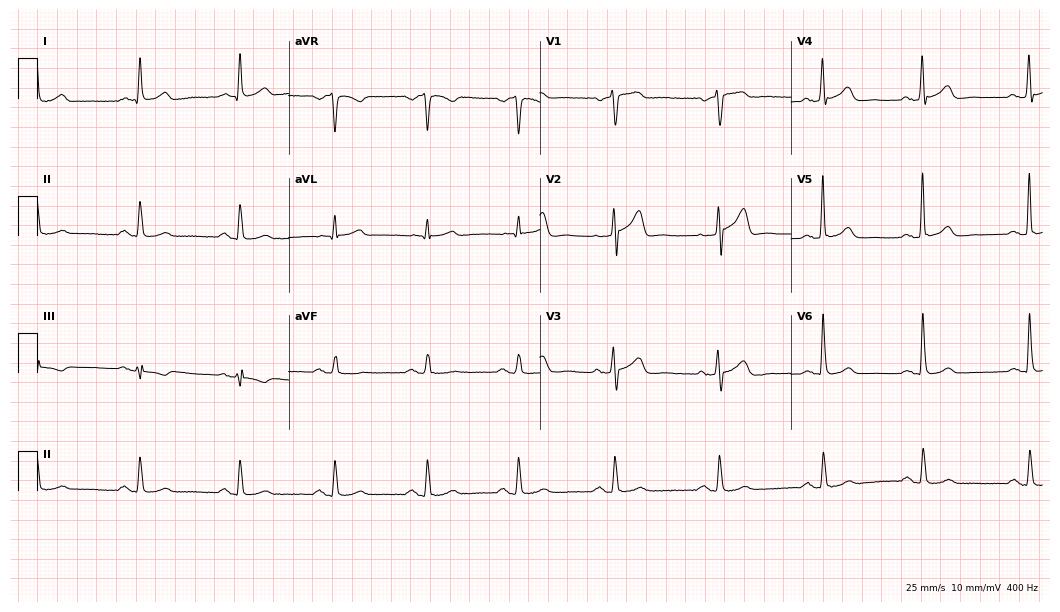
Electrocardiogram, a male patient, 60 years old. Of the six screened findings (first-degree AV block, right bundle branch block, left bundle branch block, sinus bradycardia, atrial fibrillation, sinus tachycardia), none is recorded. Other findings, if any, are not listed.